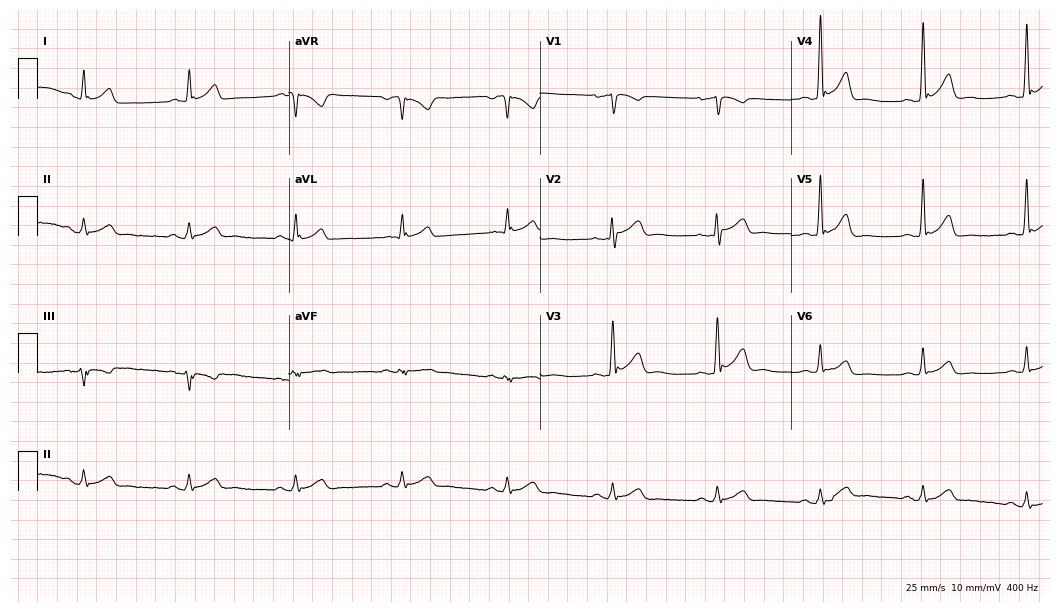
ECG — a 45-year-old male patient. Screened for six findings — first-degree AV block, right bundle branch block, left bundle branch block, sinus bradycardia, atrial fibrillation, sinus tachycardia — none is recorded.